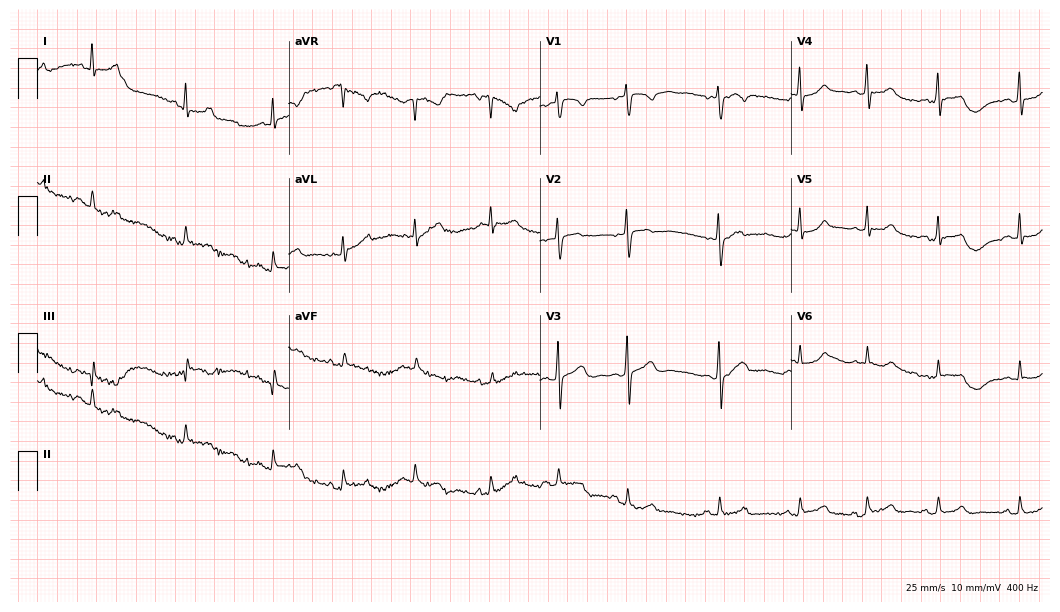
Resting 12-lead electrocardiogram. Patient: a 19-year-old female. Read as a normal ECG.